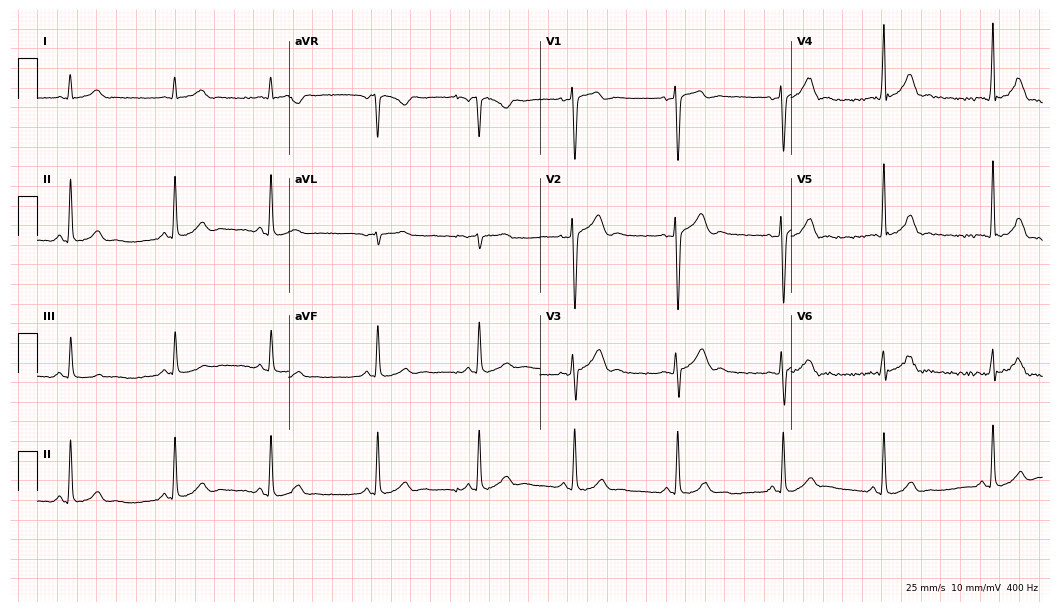
Standard 12-lead ECG recorded from an 18-year-old male. Read as a normal ECG.